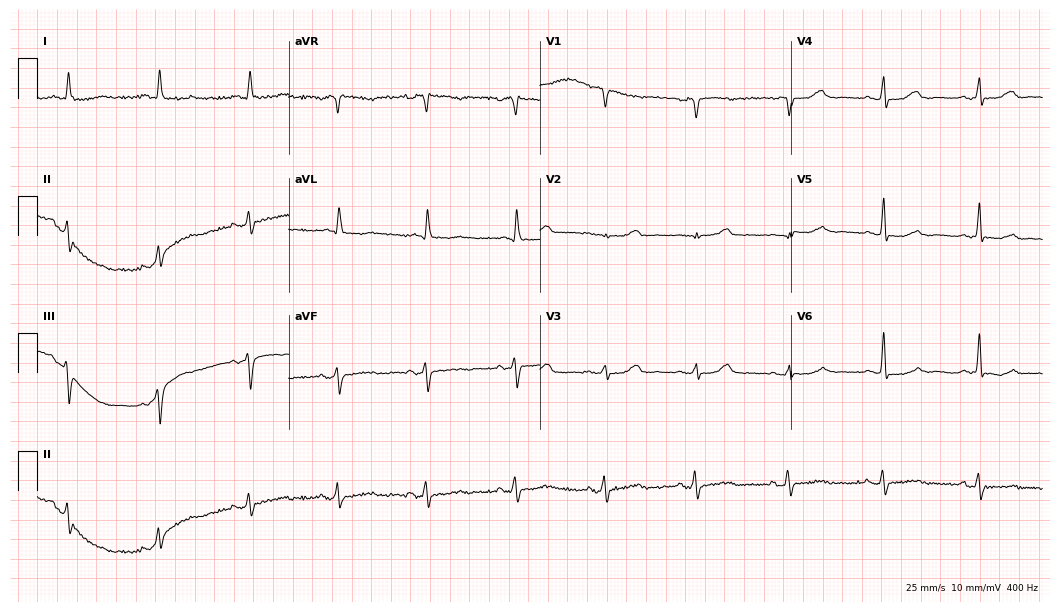
Electrocardiogram (10.2-second recording at 400 Hz), a female, 74 years old. Overall reading on record: normal ECG.